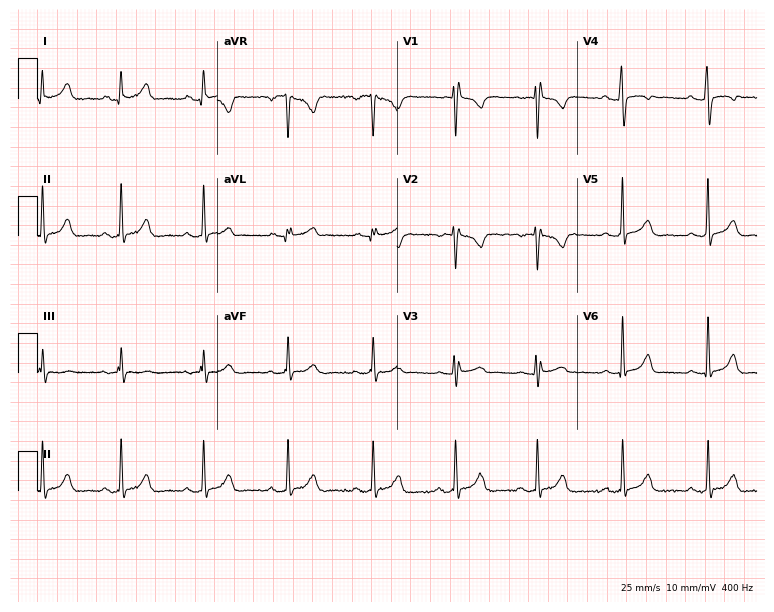
12-lead ECG from a 32-year-old female. Screened for six findings — first-degree AV block, right bundle branch block, left bundle branch block, sinus bradycardia, atrial fibrillation, sinus tachycardia — none is recorded.